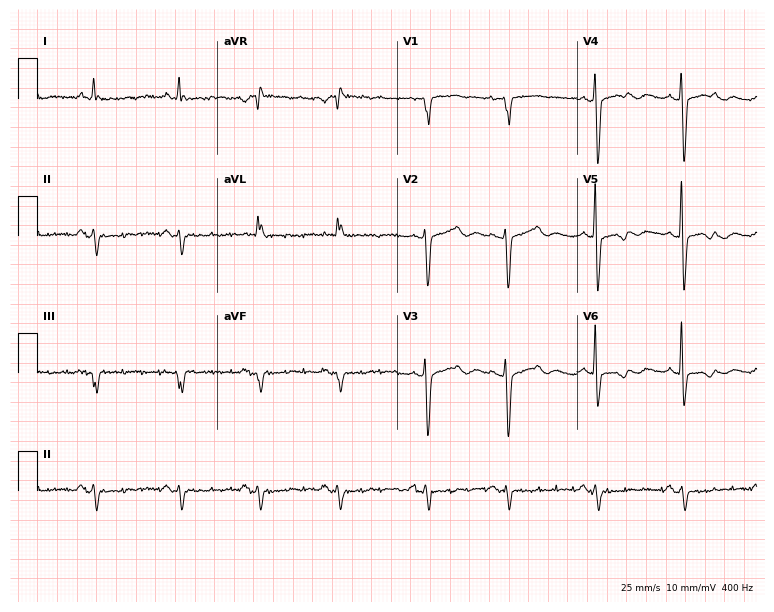
ECG — an 84-year-old female patient. Screened for six findings — first-degree AV block, right bundle branch block, left bundle branch block, sinus bradycardia, atrial fibrillation, sinus tachycardia — none is recorded.